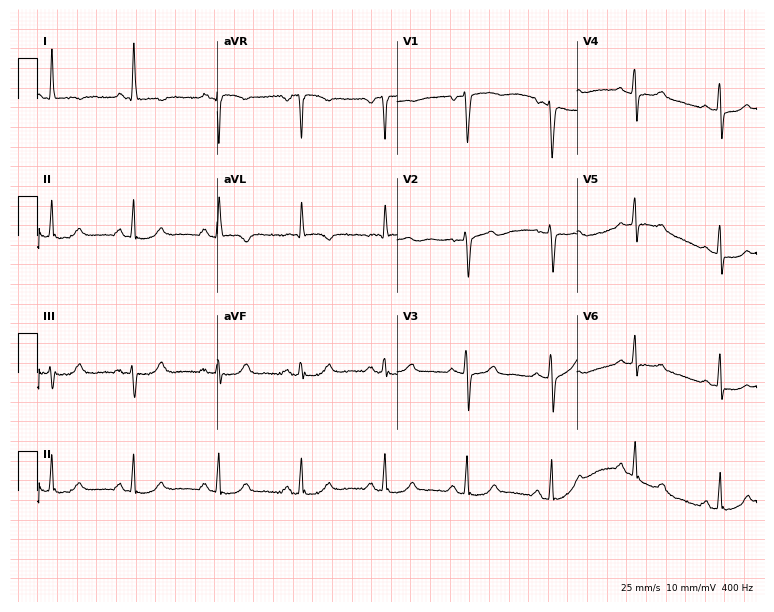
12-lead ECG from a woman, 67 years old (7.3-second recording at 400 Hz). No first-degree AV block, right bundle branch block, left bundle branch block, sinus bradycardia, atrial fibrillation or sinus tachycardia recorded for this tracing. Findings outside these six are not listed.